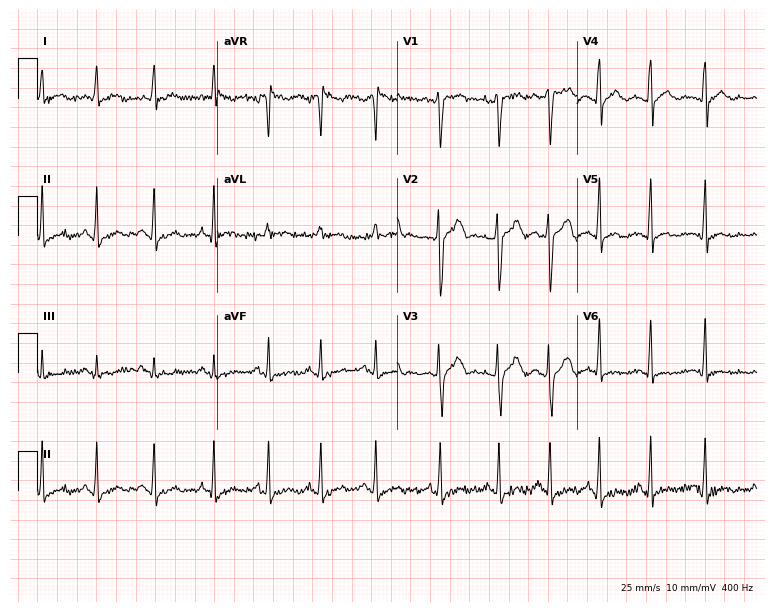
Resting 12-lead electrocardiogram (7.3-second recording at 400 Hz). Patient: a 32-year-old man. The tracing shows sinus tachycardia (a sinus rate of 100 beats per minute or more).